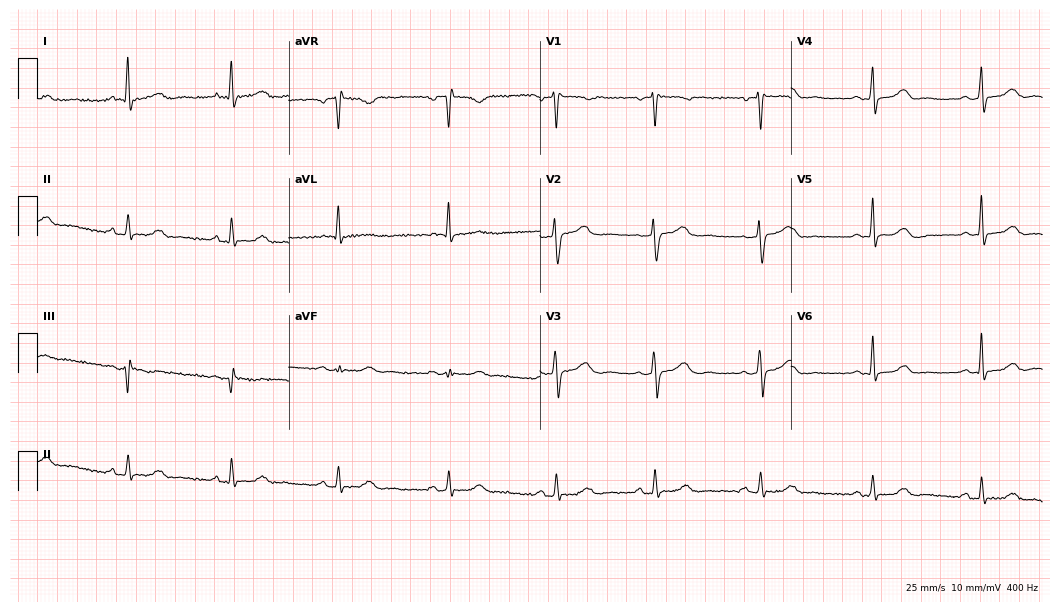
Standard 12-lead ECG recorded from a 64-year-old female patient. None of these six findings is recorded: first-degree AV block, right bundle branch block, left bundle branch block, sinus bradycardia, atrial fibrillation, sinus tachycardia. Findings outside these six are not listed.